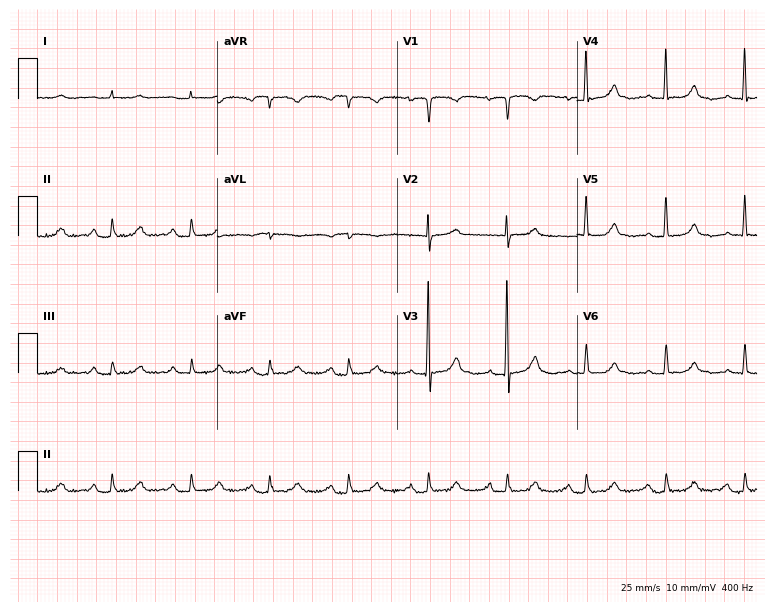
12-lead ECG from a 75-year-old female patient. Screened for six findings — first-degree AV block, right bundle branch block, left bundle branch block, sinus bradycardia, atrial fibrillation, sinus tachycardia — none is recorded. Findings outside these six are not listed.